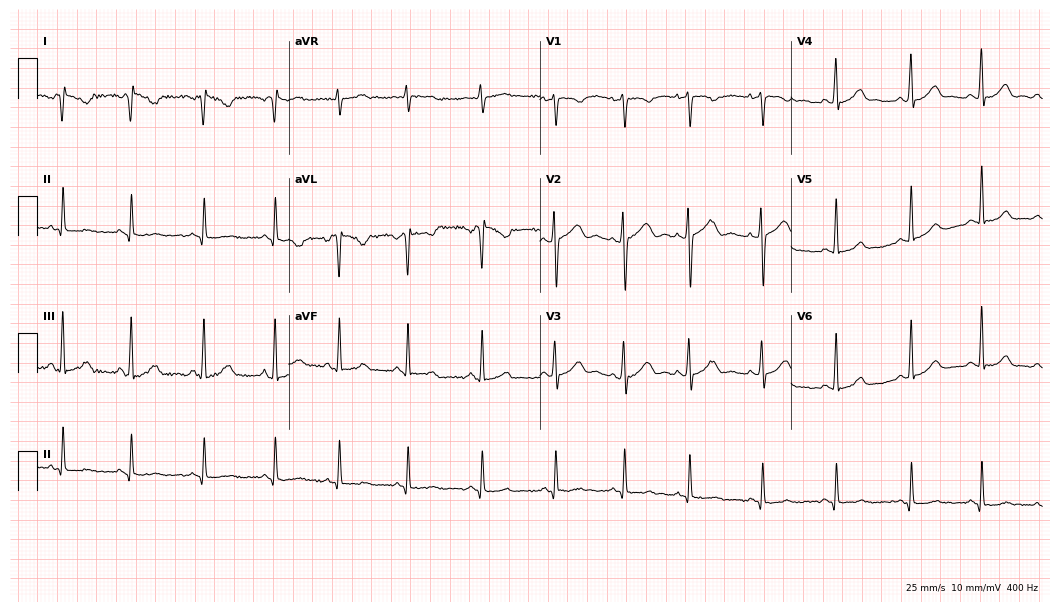
12-lead ECG from an 18-year-old female patient. Screened for six findings — first-degree AV block, right bundle branch block, left bundle branch block, sinus bradycardia, atrial fibrillation, sinus tachycardia — none is recorded.